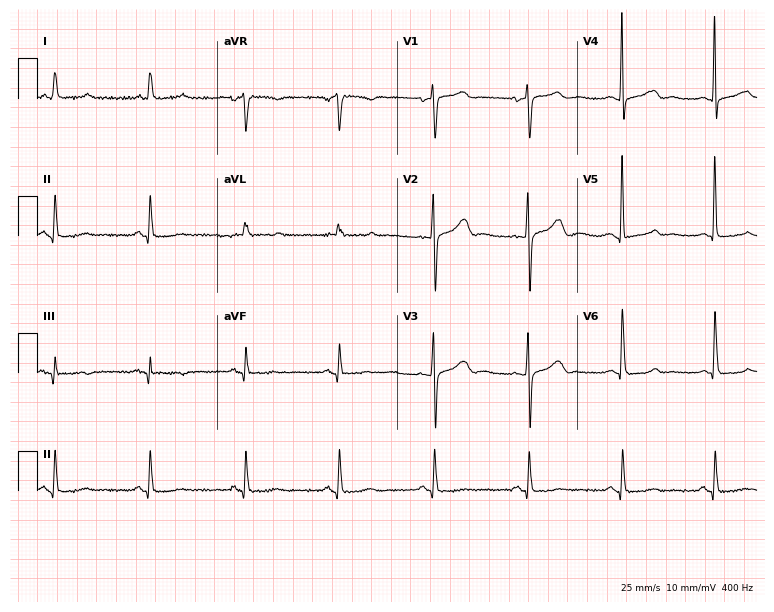
12-lead ECG from a 76-year-old female patient. Recorded interpretation: within normal limits.